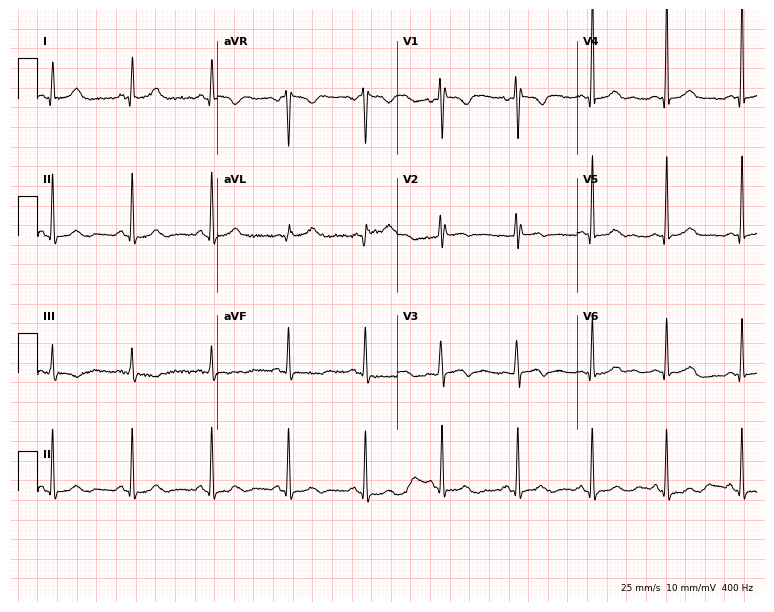
Resting 12-lead electrocardiogram. Patient: a 29-year-old woman. None of these six findings is recorded: first-degree AV block, right bundle branch block (RBBB), left bundle branch block (LBBB), sinus bradycardia, atrial fibrillation (AF), sinus tachycardia. Only these six findings were labelled.